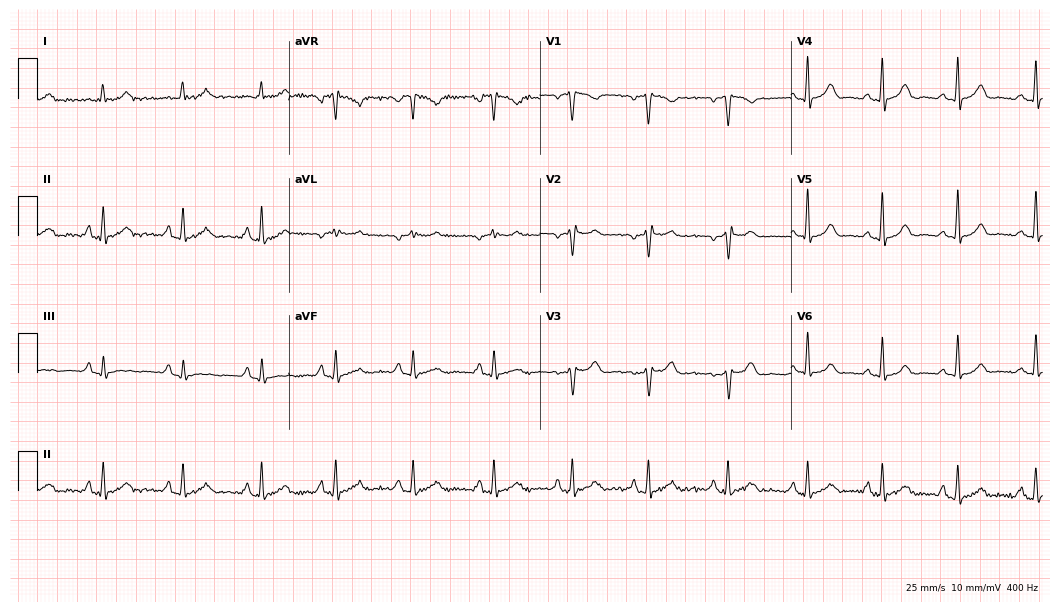
12-lead ECG from a 38-year-old woman (10.2-second recording at 400 Hz). No first-degree AV block, right bundle branch block, left bundle branch block, sinus bradycardia, atrial fibrillation or sinus tachycardia recorded for this tracing.